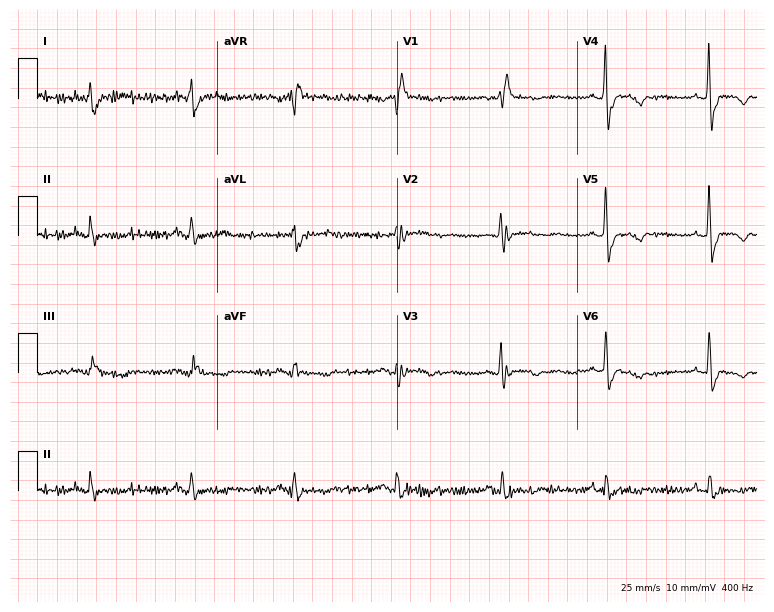
ECG — a woman, 70 years old. Screened for six findings — first-degree AV block, right bundle branch block, left bundle branch block, sinus bradycardia, atrial fibrillation, sinus tachycardia — none is recorded.